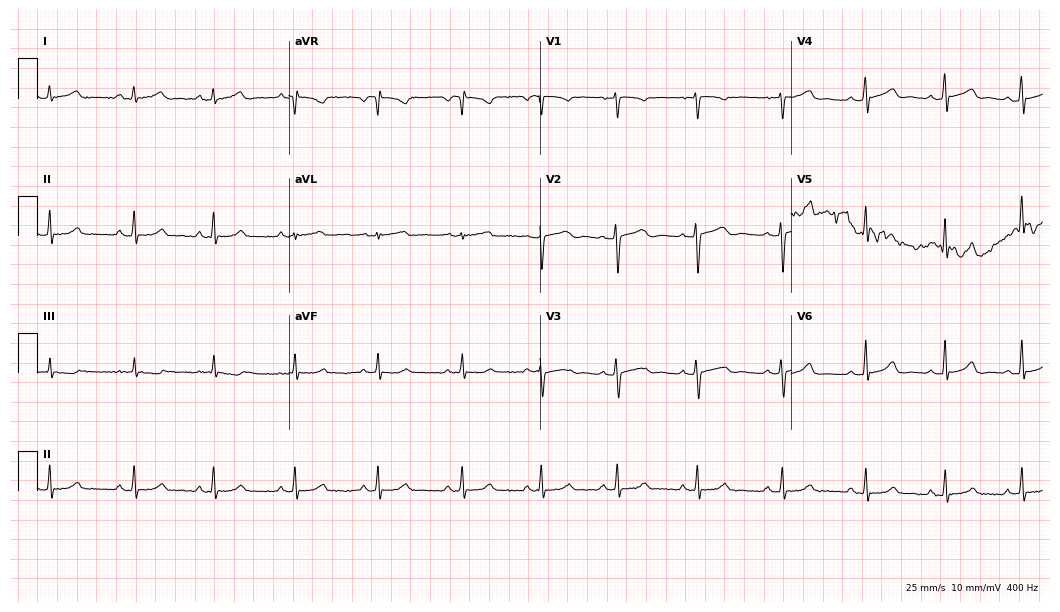
12-lead ECG from a 20-year-old female patient. No first-degree AV block, right bundle branch block, left bundle branch block, sinus bradycardia, atrial fibrillation or sinus tachycardia recorded for this tracing.